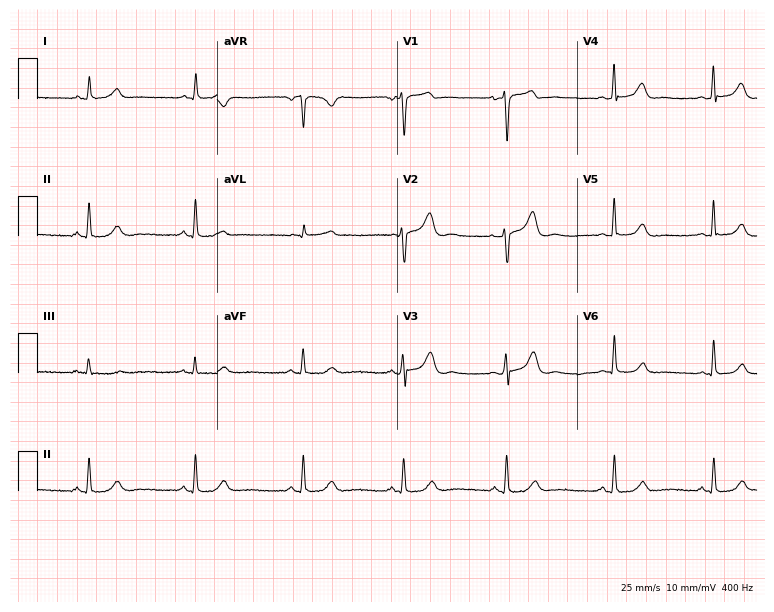
12-lead ECG from a woman, 39 years old. Recorded interpretation: within normal limits.